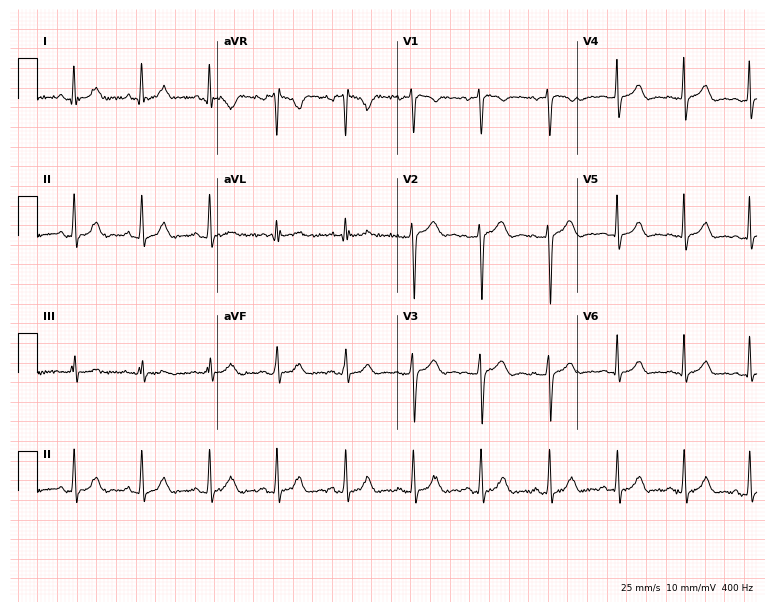
Standard 12-lead ECG recorded from a female patient, 17 years old. Read as a normal ECG.